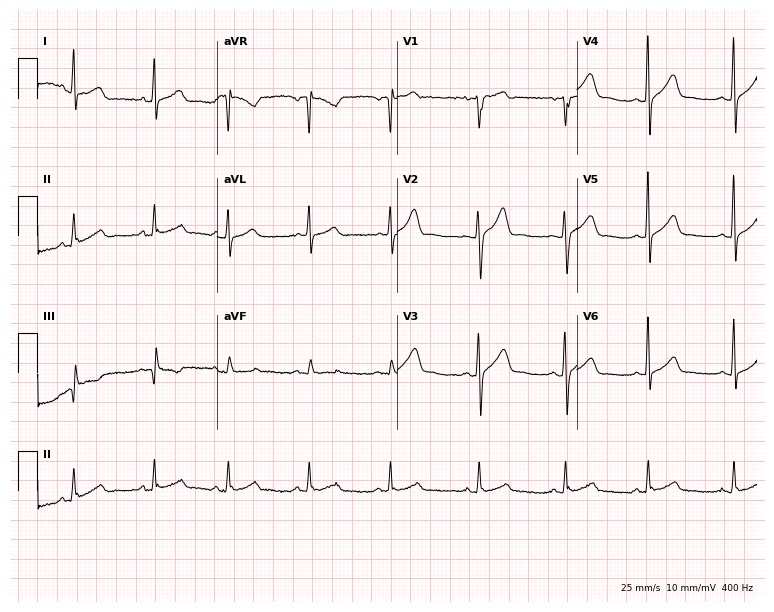
Electrocardiogram, a male, 32 years old. Overall reading on record: normal ECG.